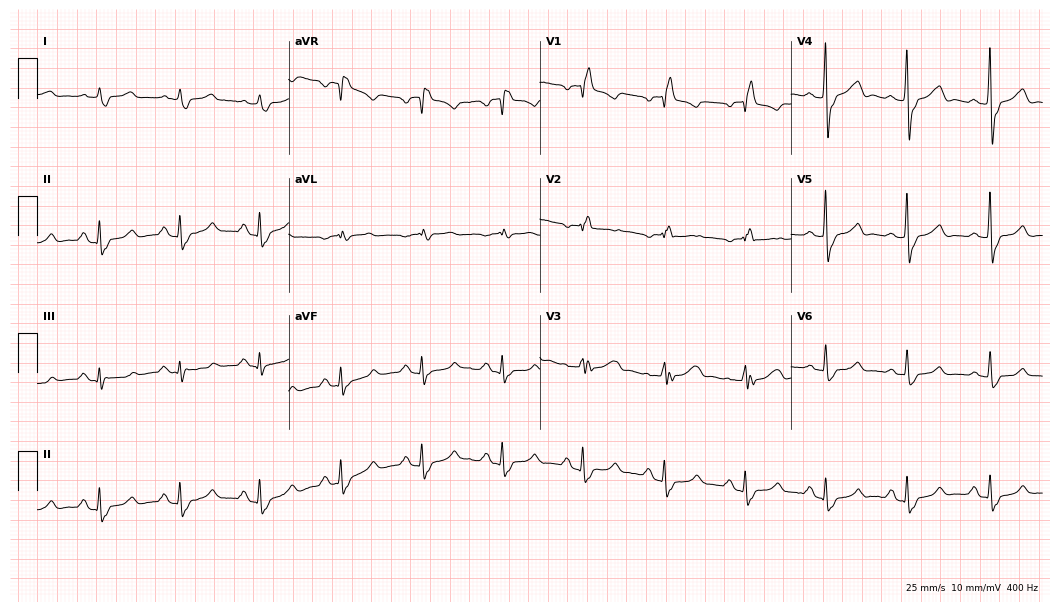
Standard 12-lead ECG recorded from a woman, 59 years old. None of these six findings is recorded: first-degree AV block, right bundle branch block, left bundle branch block, sinus bradycardia, atrial fibrillation, sinus tachycardia.